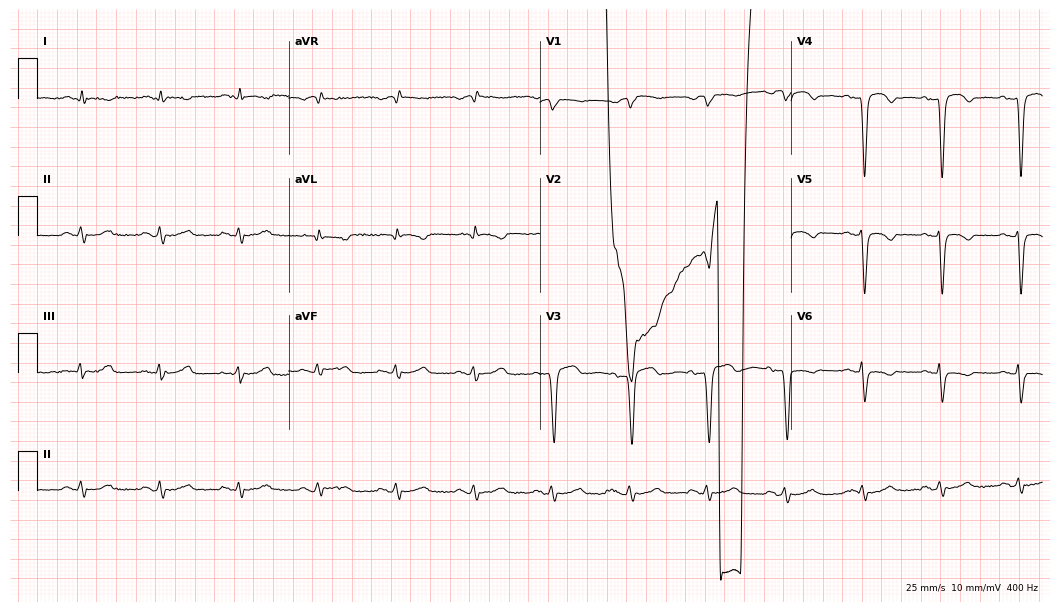
Electrocardiogram (10.2-second recording at 400 Hz), a 66-year-old male patient. Of the six screened findings (first-degree AV block, right bundle branch block, left bundle branch block, sinus bradycardia, atrial fibrillation, sinus tachycardia), none is recorded.